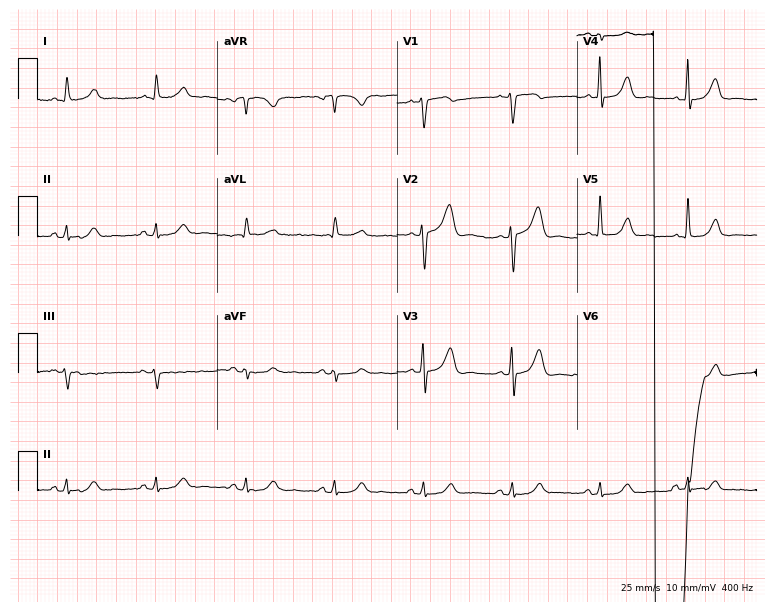
12-lead ECG from a male, 71 years old (7.3-second recording at 400 Hz). No first-degree AV block, right bundle branch block, left bundle branch block, sinus bradycardia, atrial fibrillation or sinus tachycardia recorded for this tracing. Other findings, if any, are not listed.